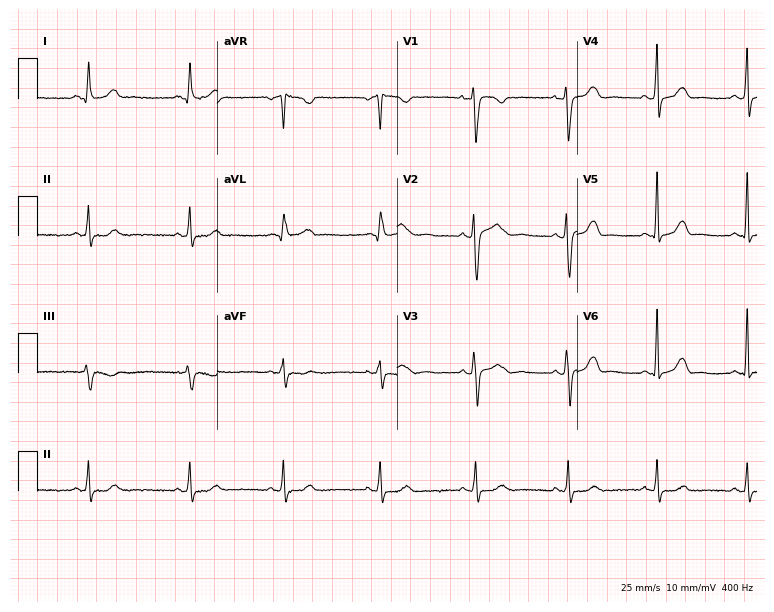
Electrocardiogram (7.3-second recording at 400 Hz), a 34-year-old female patient. Overall reading on record: normal ECG.